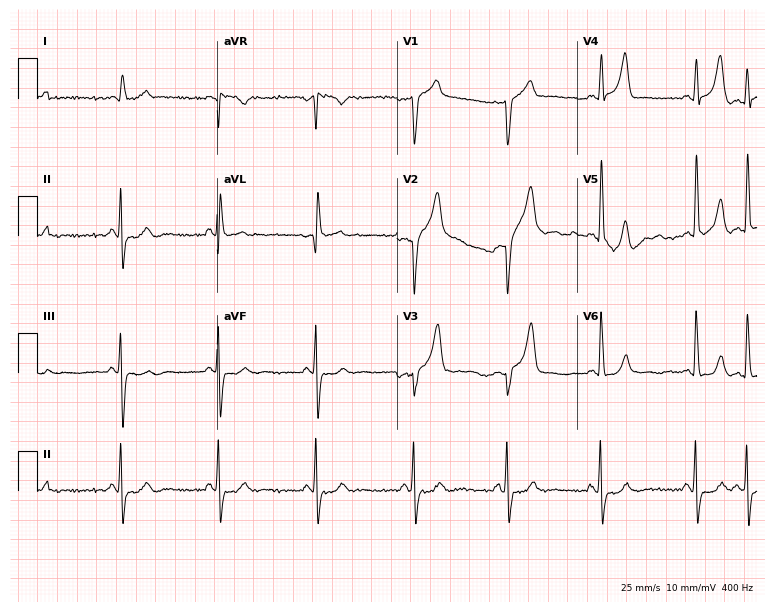
Standard 12-lead ECG recorded from a male, 71 years old (7.3-second recording at 400 Hz). None of these six findings is recorded: first-degree AV block, right bundle branch block (RBBB), left bundle branch block (LBBB), sinus bradycardia, atrial fibrillation (AF), sinus tachycardia. Findings outside these six are not listed.